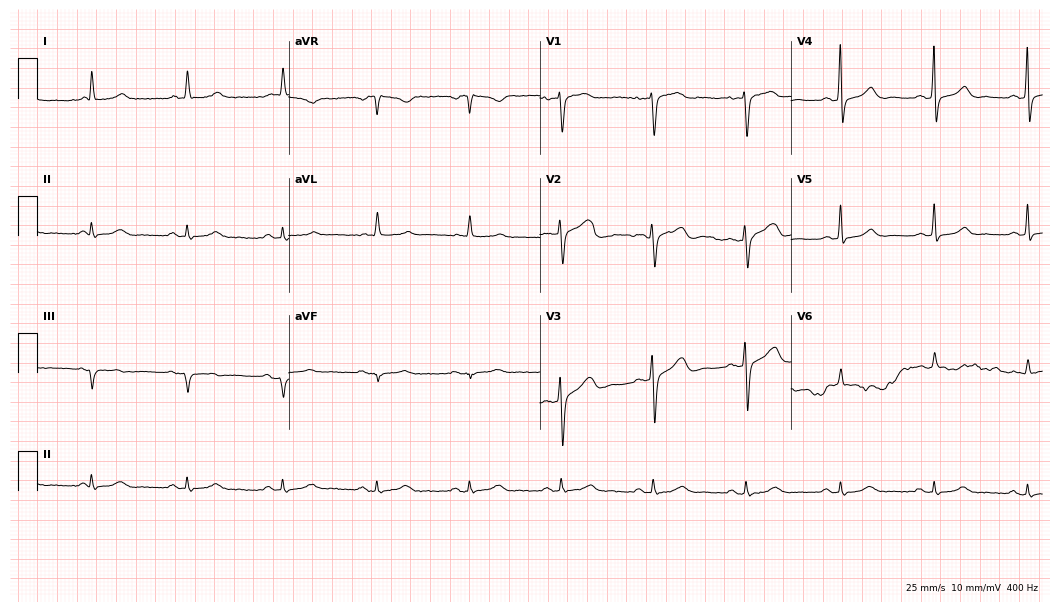
12-lead ECG (10.2-second recording at 400 Hz) from a 76-year-old woman. Labelled as a normal ECG.